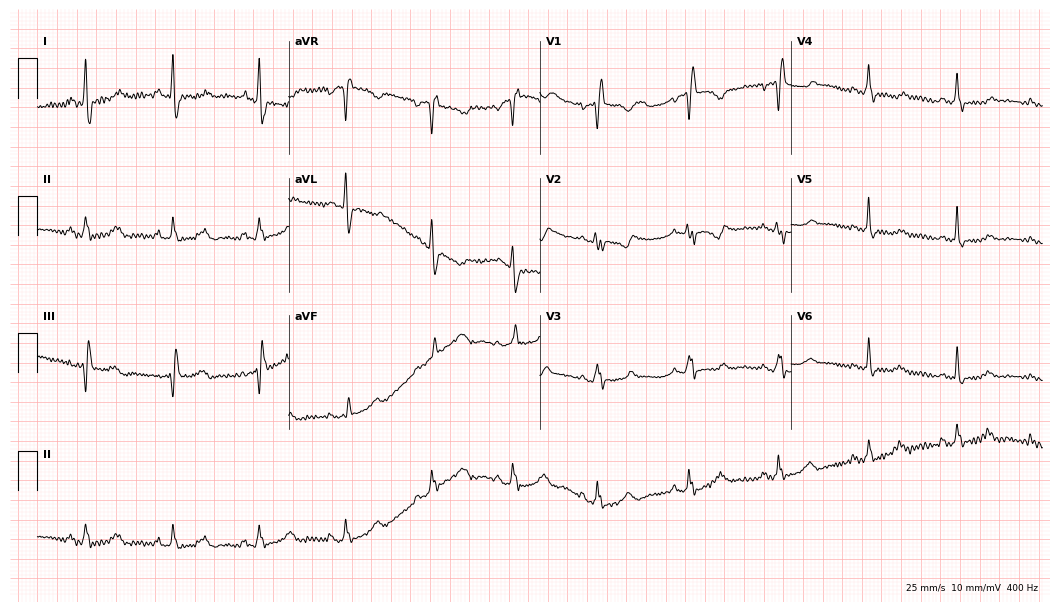
12-lead ECG from a 26-year-old female. Screened for six findings — first-degree AV block, right bundle branch block, left bundle branch block, sinus bradycardia, atrial fibrillation, sinus tachycardia — none is recorded. Other findings, if any, are not listed.